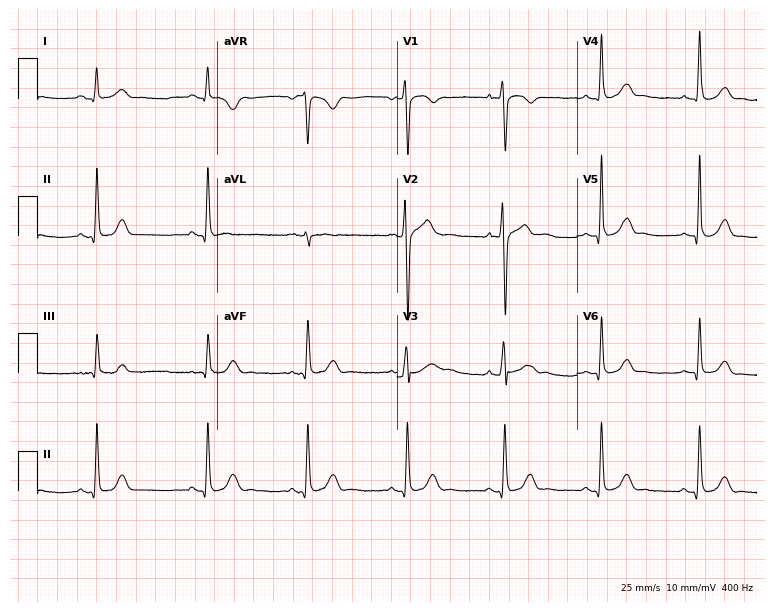
12-lead ECG (7.3-second recording at 400 Hz) from a male, 19 years old. Labelled as a normal ECG.